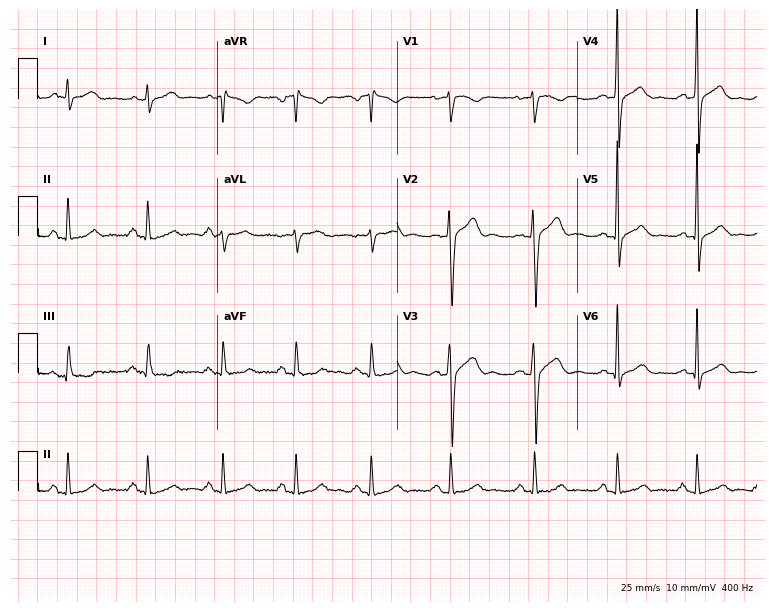
Standard 12-lead ECG recorded from a male, 34 years old. Read as a normal ECG.